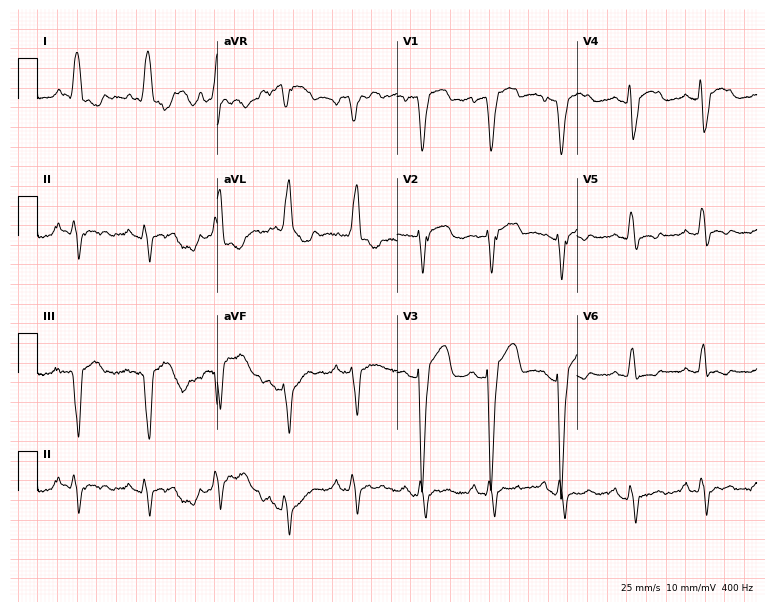
Standard 12-lead ECG recorded from a woman, 71 years old. The tracing shows left bundle branch block.